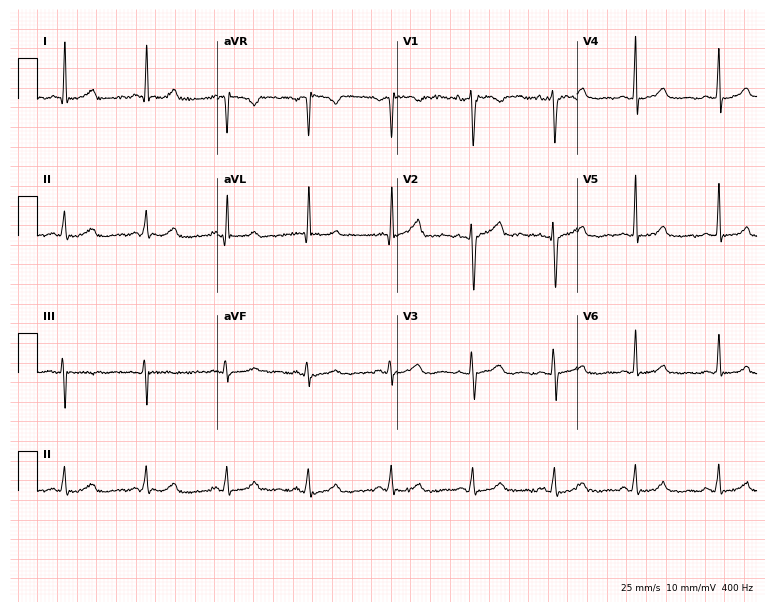
ECG (7.3-second recording at 400 Hz) — a male, 31 years old. Labelled as a normal ECG.